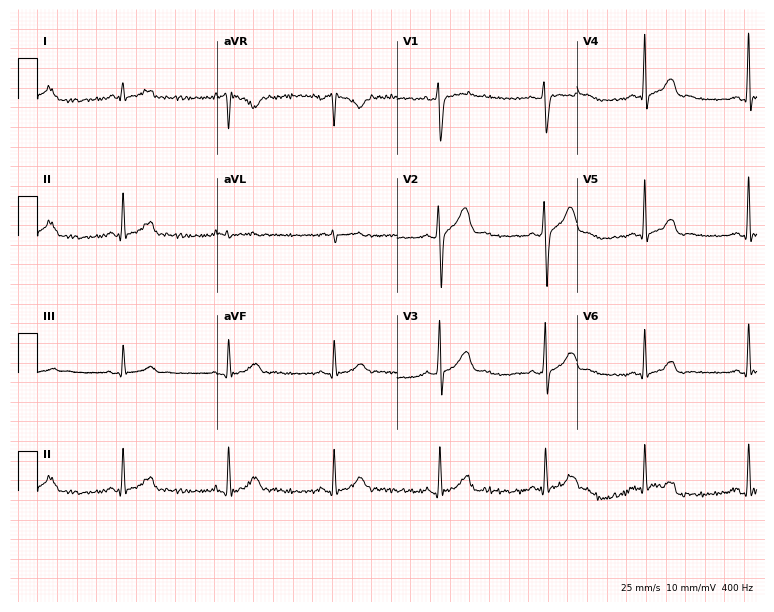
ECG (7.3-second recording at 400 Hz) — a male, 35 years old. Labelled as a normal ECG.